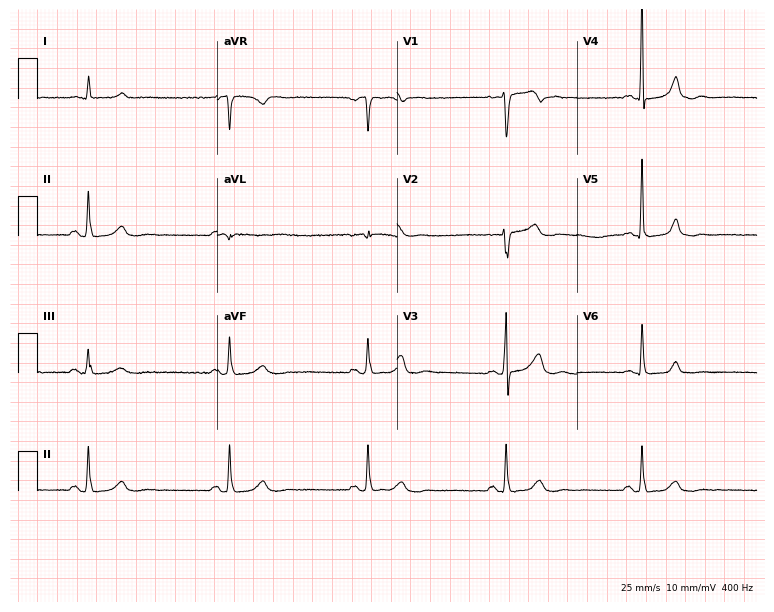
Resting 12-lead electrocardiogram. Patient: a woman, 55 years old. The tracing shows sinus bradycardia (a sinus rate of 50 beats per minute or less).